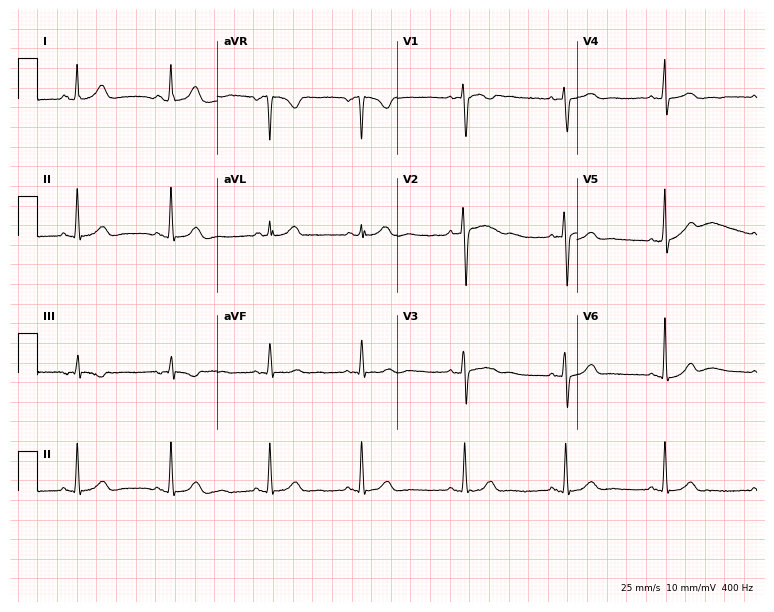
12-lead ECG from a female patient, 25 years old. Screened for six findings — first-degree AV block, right bundle branch block (RBBB), left bundle branch block (LBBB), sinus bradycardia, atrial fibrillation (AF), sinus tachycardia — none is recorded.